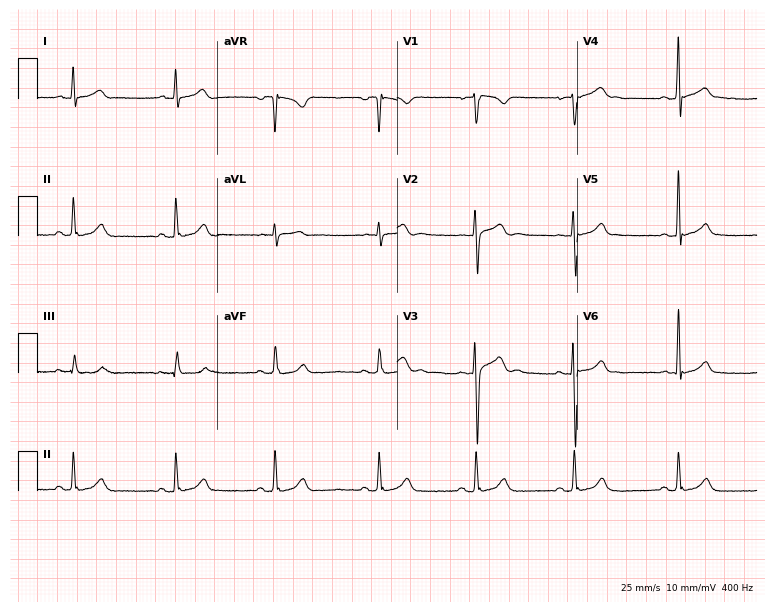
12-lead ECG (7.3-second recording at 400 Hz) from a male, 26 years old. Labelled as a normal ECG.